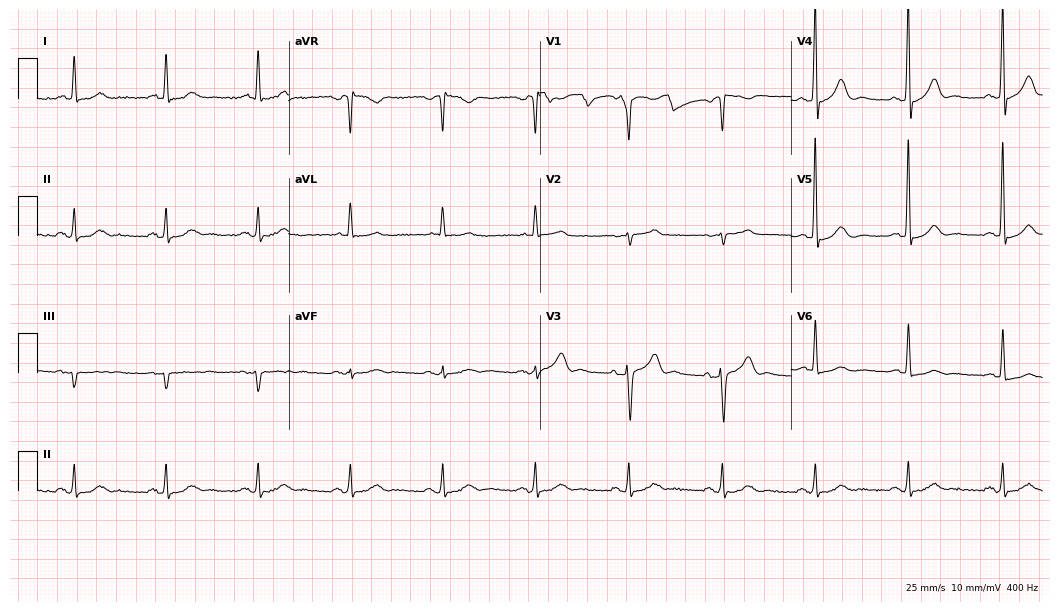
Standard 12-lead ECG recorded from a male patient, 78 years old (10.2-second recording at 400 Hz). Read as a normal ECG.